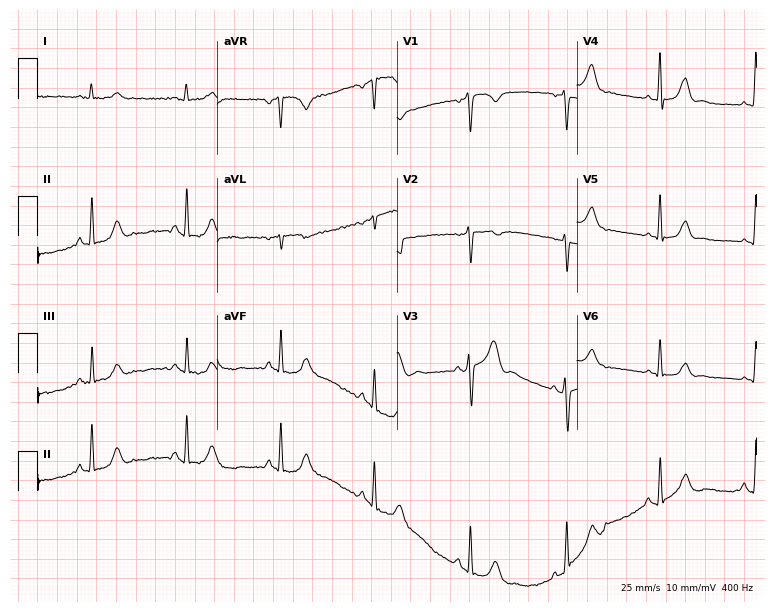
ECG (7.3-second recording at 400 Hz) — a 43-year-old male. Screened for six findings — first-degree AV block, right bundle branch block, left bundle branch block, sinus bradycardia, atrial fibrillation, sinus tachycardia — none is recorded.